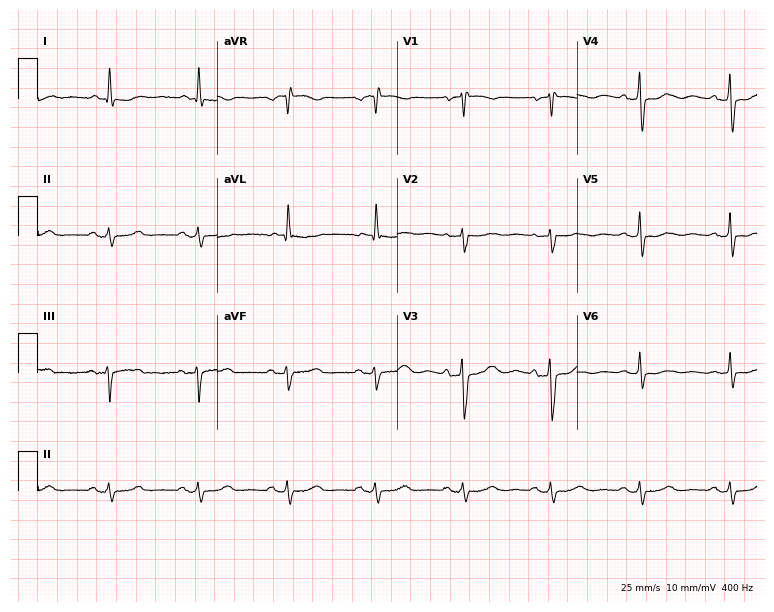
Resting 12-lead electrocardiogram (7.3-second recording at 400 Hz). Patient: a 64-year-old woman. None of these six findings is recorded: first-degree AV block, right bundle branch block, left bundle branch block, sinus bradycardia, atrial fibrillation, sinus tachycardia.